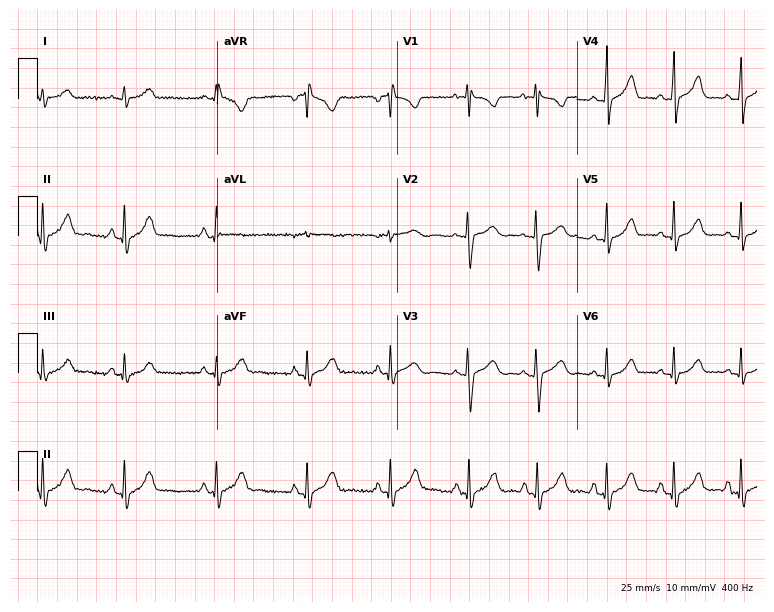
Electrocardiogram (7.3-second recording at 400 Hz), a female patient, 18 years old. Of the six screened findings (first-degree AV block, right bundle branch block (RBBB), left bundle branch block (LBBB), sinus bradycardia, atrial fibrillation (AF), sinus tachycardia), none is recorded.